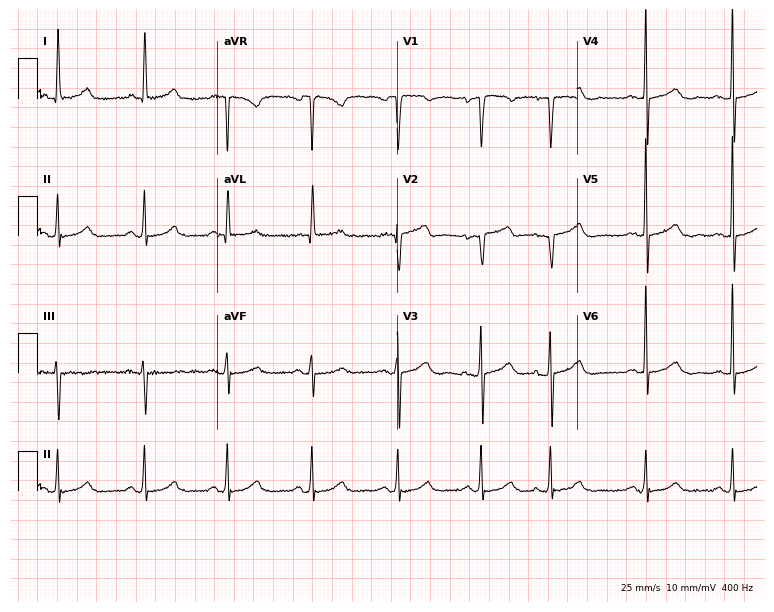
12-lead ECG from a 72-year-old female patient (7.3-second recording at 400 Hz). No first-degree AV block, right bundle branch block (RBBB), left bundle branch block (LBBB), sinus bradycardia, atrial fibrillation (AF) or sinus tachycardia recorded for this tracing. Only these six findings were labelled.